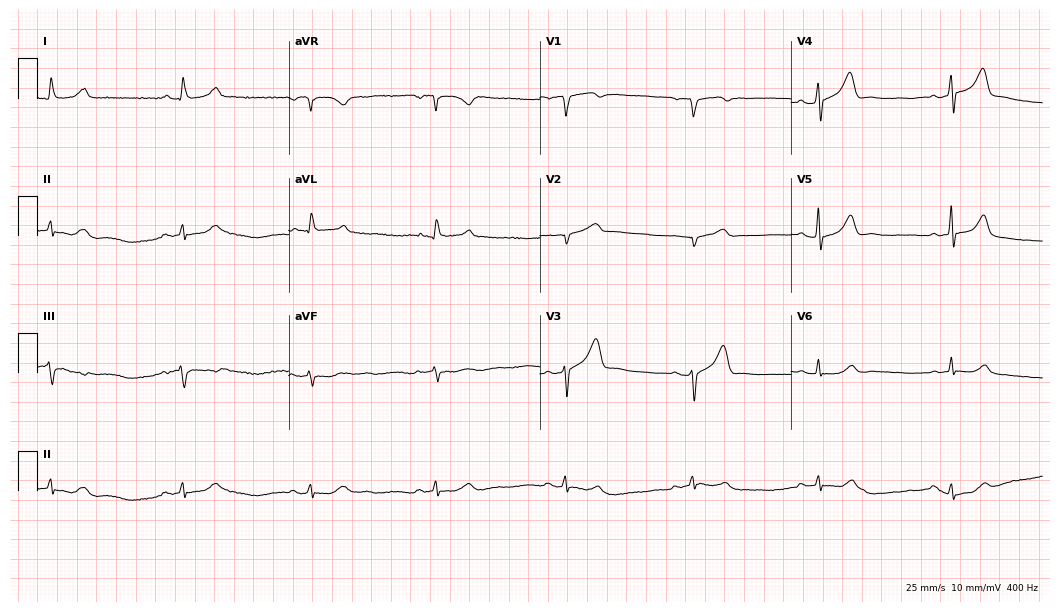
ECG (10.2-second recording at 400 Hz) — a male patient, 64 years old. Findings include sinus bradycardia (a sinus rate of 50 beats per minute or less).